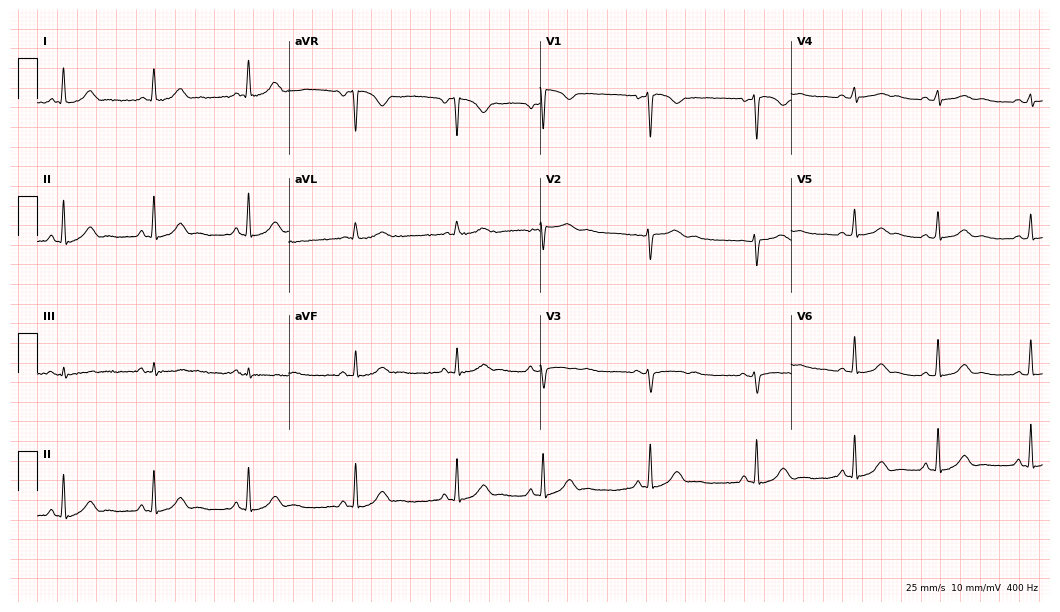
ECG — a 27-year-old female patient. Labelled as a normal ECG.